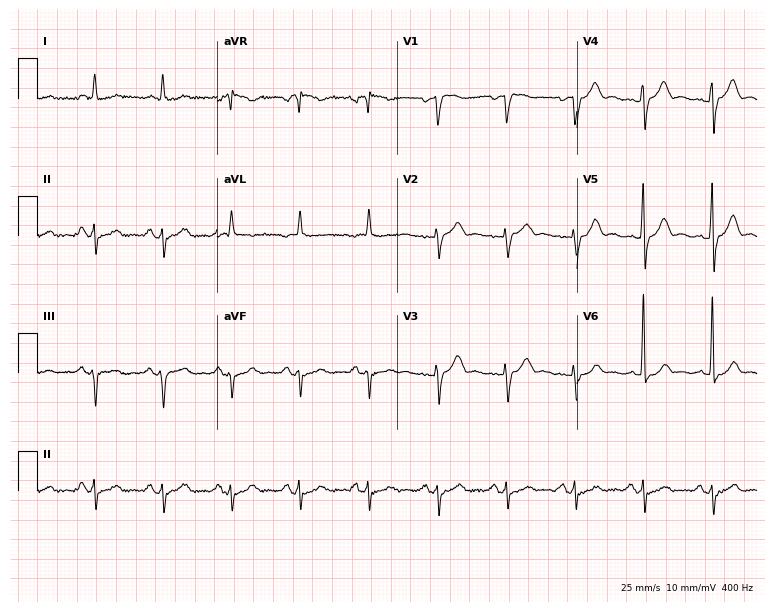
ECG (7.3-second recording at 400 Hz) — a male patient, 70 years old. Screened for six findings — first-degree AV block, right bundle branch block, left bundle branch block, sinus bradycardia, atrial fibrillation, sinus tachycardia — none is recorded. Findings outside these six are not listed.